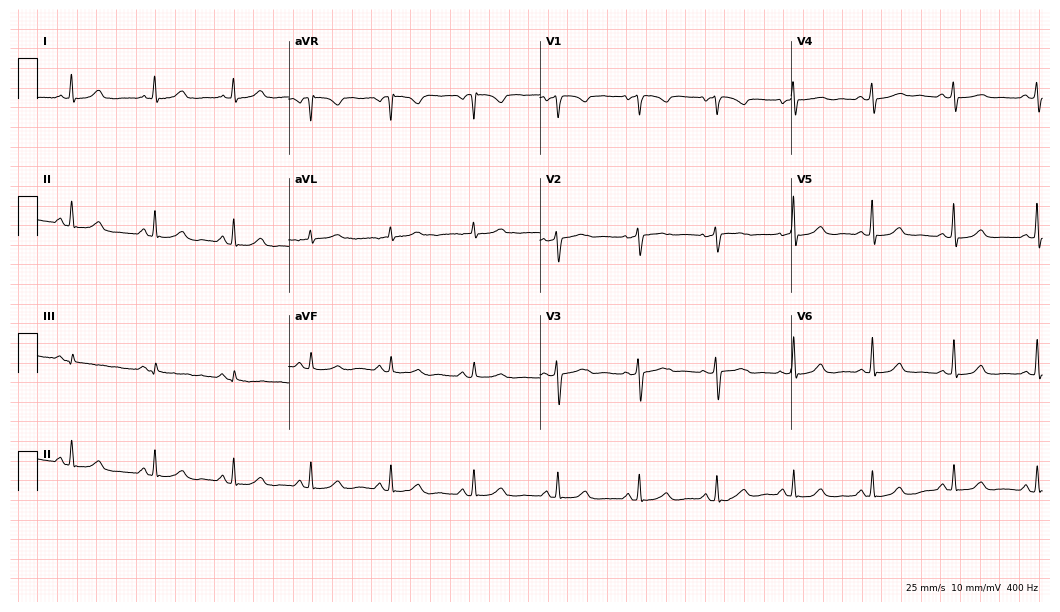
Standard 12-lead ECG recorded from a woman, 39 years old (10.2-second recording at 400 Hz). Read as a normal ECG.